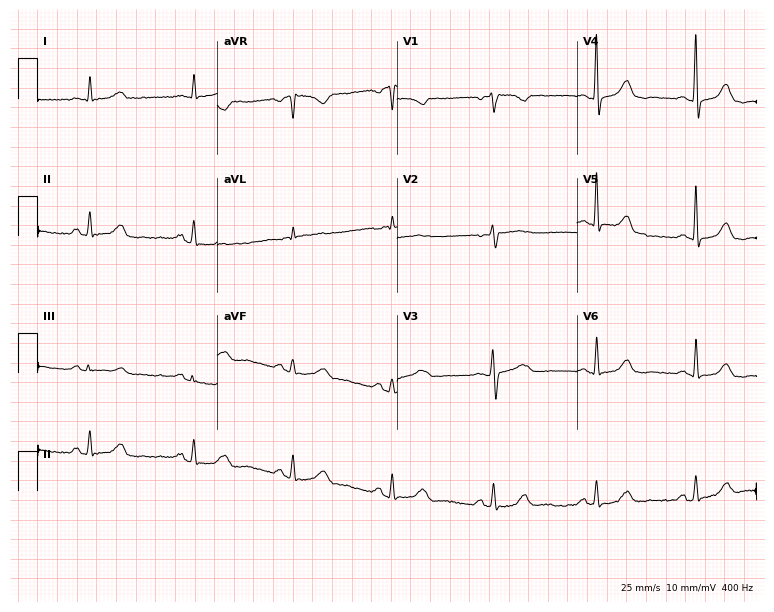
Electrocardiogram, a female patient, 66 years old. Of the six screened findings (first-degree AV block, right bundle branch block, left bundle branch block, sinus bradycardia, atrial fibrillation, sinus tachycardia), none is recorded.